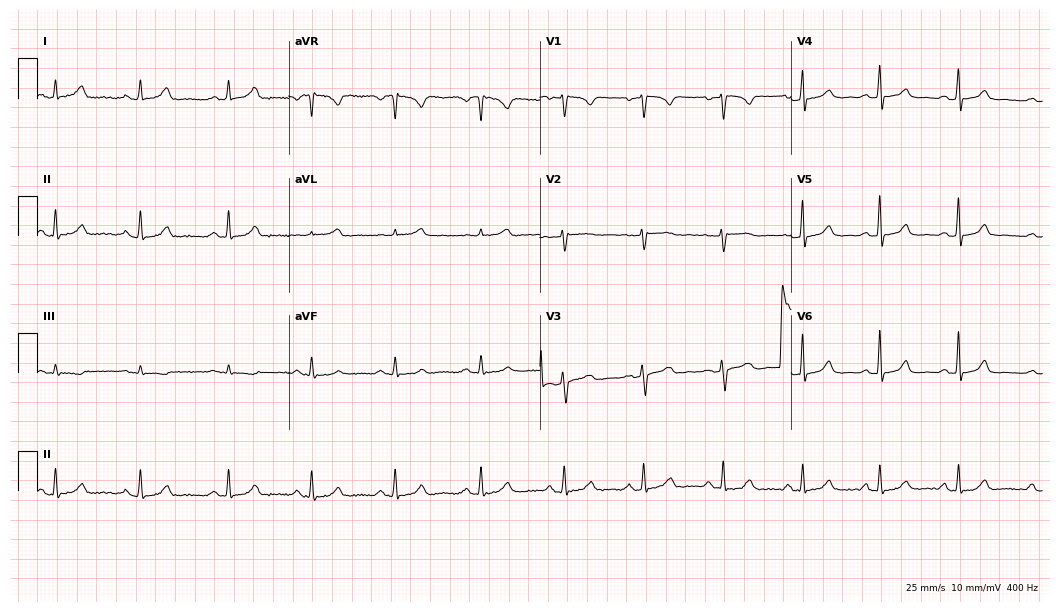
12-lead ECG from a 35-year-old female. Screened for six findings — first-degree AV block, right bundle branch block (RBBB), left bundle branch block (LBBB), sinus bradycardia, atrial fibrillation (AF), sinus tachycardia — none is recorded.